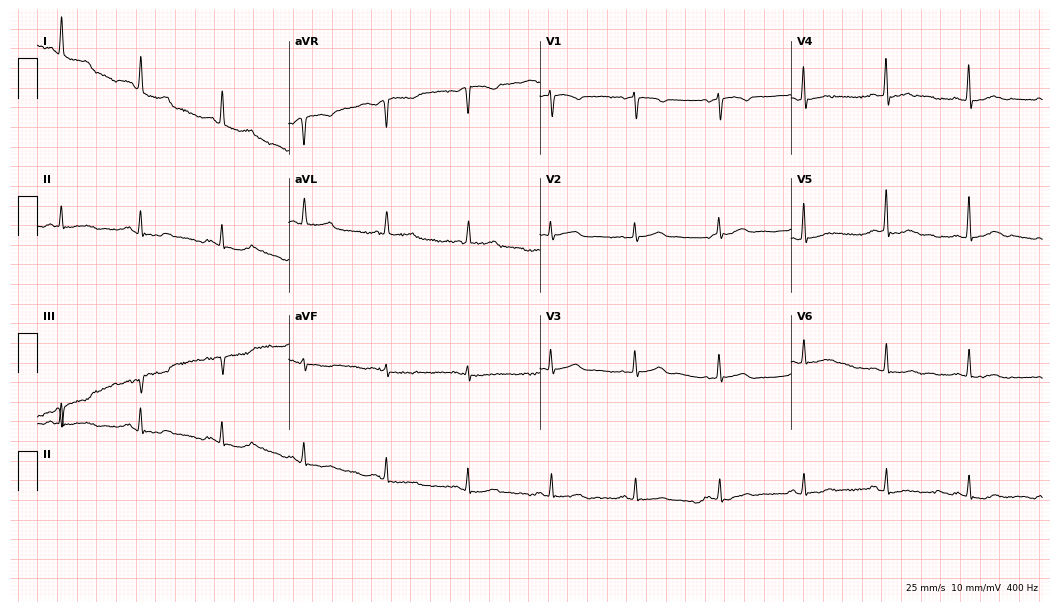
Electrocardiogram, a female patient, 66 years old. Overall reading on record: normal ECG.